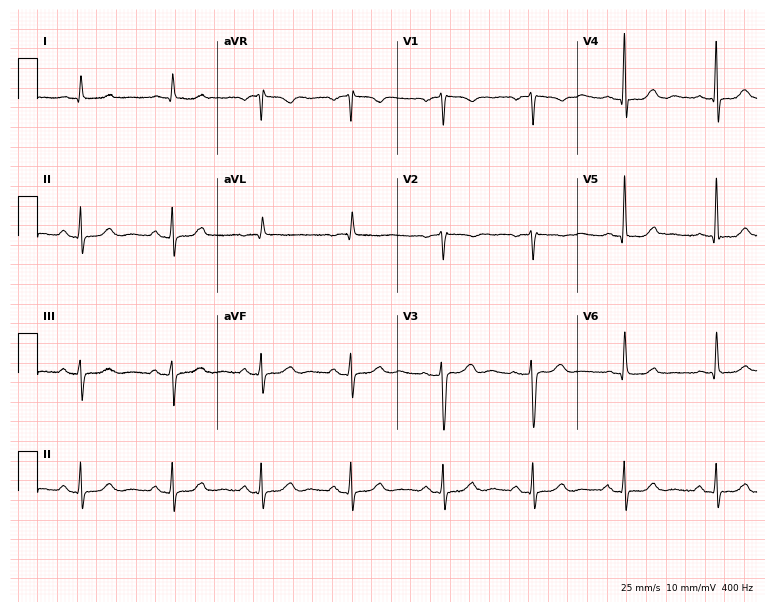
12-lead ECG (7.3-second recording at 400 Hz) from a 71-year-old female. Screened for six findings — first-degree AV block, right bundle branch block, left bundle branch block, sinus bradycardia, atrial fibrillation, sinus tachycardia — none is recorded.